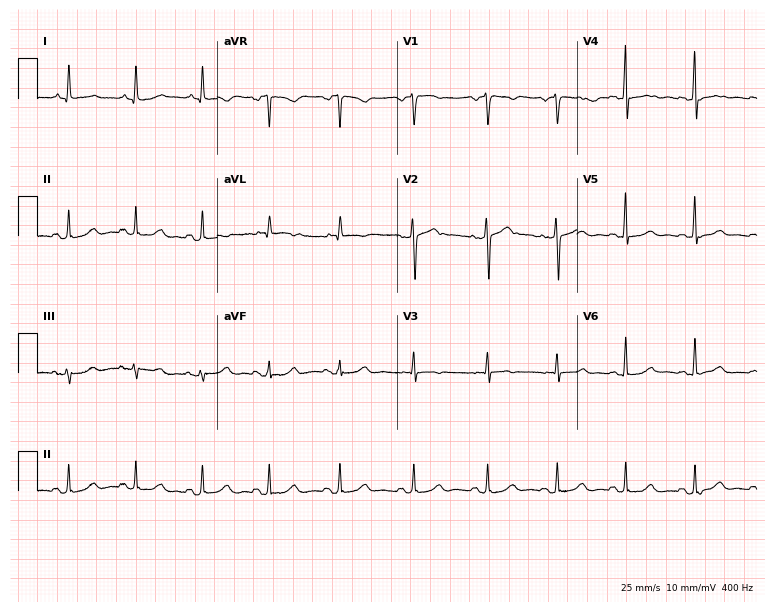
ECG — a 58-year-old woman. Screened for six findings — first-degree AV block, right bundle branch block, left bundle branch block, sinus bradycardia, atrial fibrillation, sinus tachycardia — none is recorded.